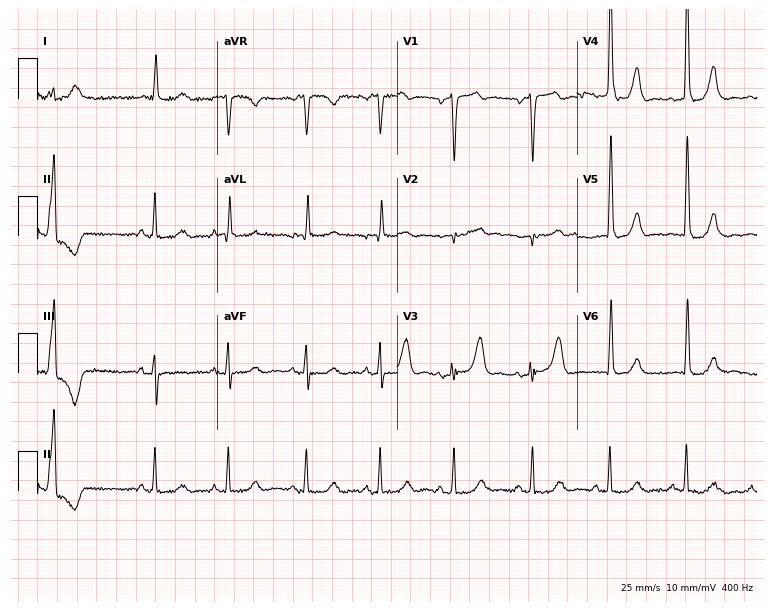
Resting 12-lead electrocardiogram (7.3-second recording at 400 Hz). Patient: an 83-year-old female. None of these six findings is recorded: first-degree AV block, right bundle branch block, left bundle branch block, sinus bradycardia, atrial fibrillation, sinus tachycardia. Findings outside these six are not listed.